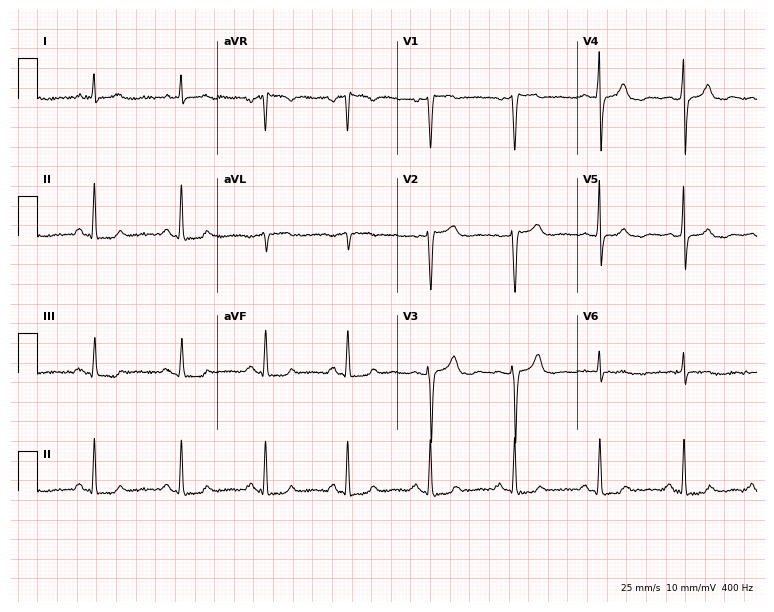
ECG — a 49-year-old woman. Screened for six findings — first-degree AV block, right bundle branch block, left bundle branch block, sinus bradycardia, atrial fibrillation, sinus tachycardia — none is recorded. Findings outside these six are not listed.